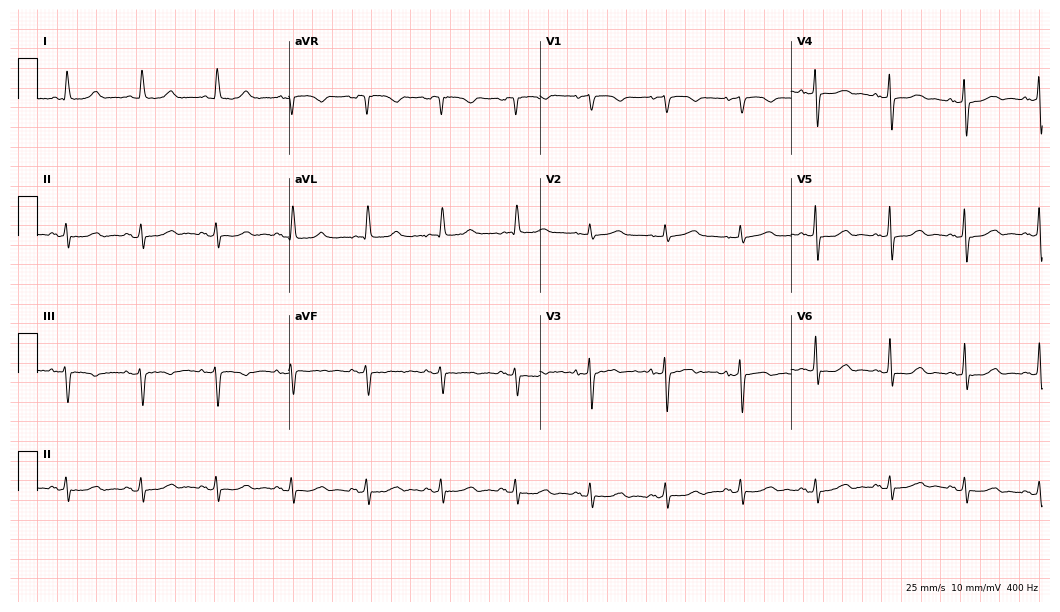
Standard 12-lead ECG recorded from an 84-year-old female. None of these six findings is recorded: first-degree AV block, right bundle branch block, left bundle branch block, sinus bradycardia, atrial fibrillation, sinus tachycardia.